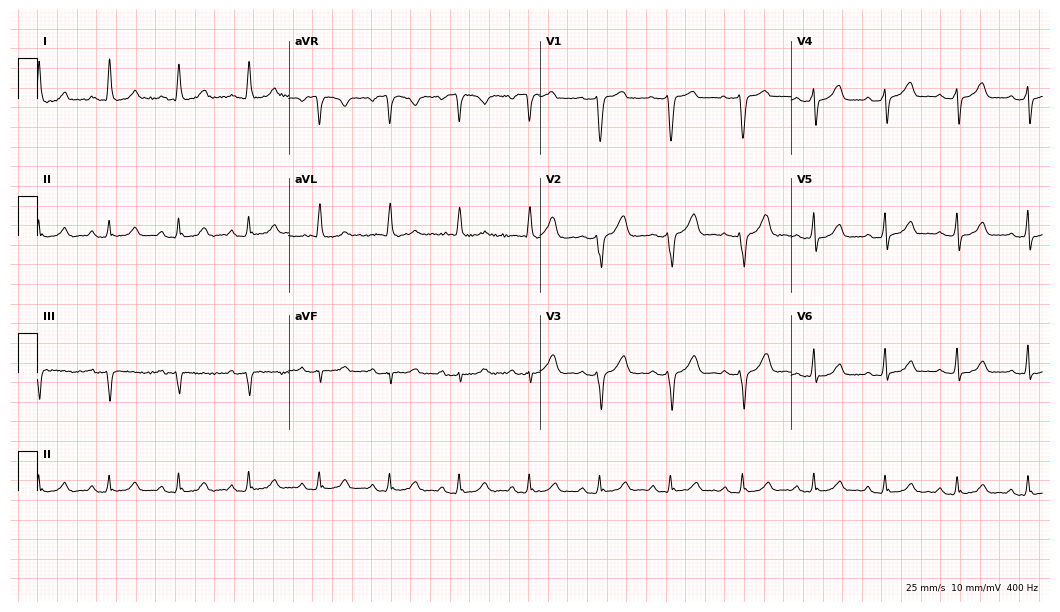
Electrocardiogram (10.2-second recording at 400 Hz), a 48-year-old woman. Overall reading on record: normal ECG.